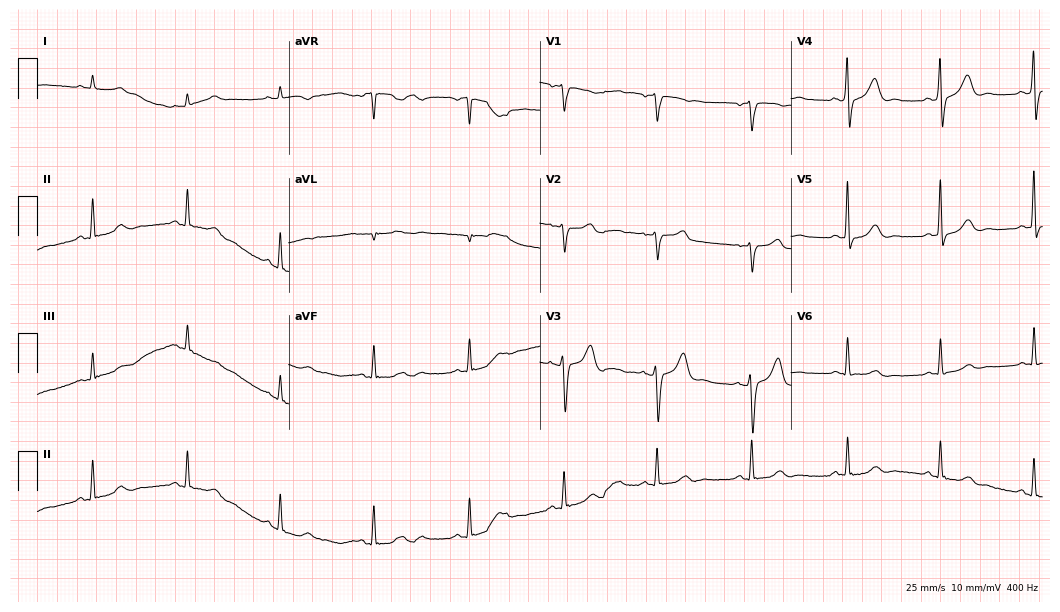
Standard 12-lead ECG recorded from a 66-year-old male (10.2-second recording at 400 Hz). Read as a normal ECG.